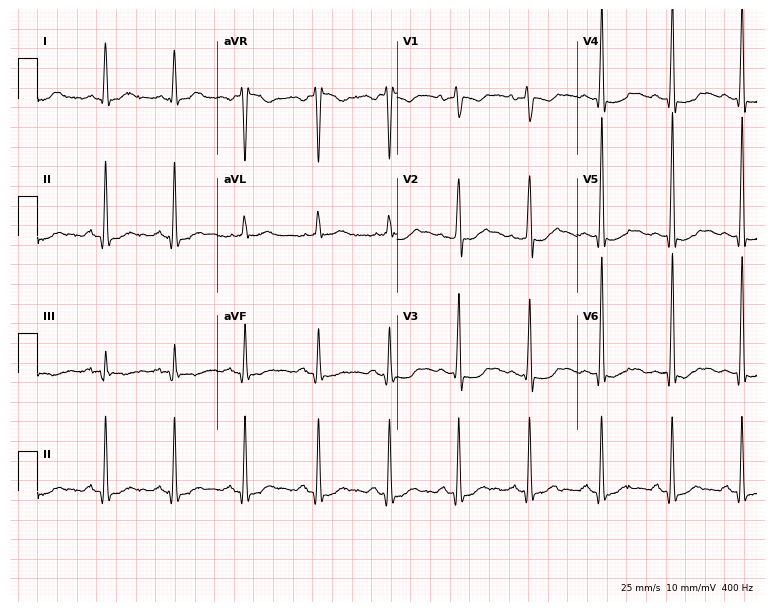
ECG — a 37-year-old male. Screened for six findings — first-degree AV block, right bundle branch block, left bundle branch block, sinus bradycardia, atrial fibrillation, sinus tachycardia — none is recorded.